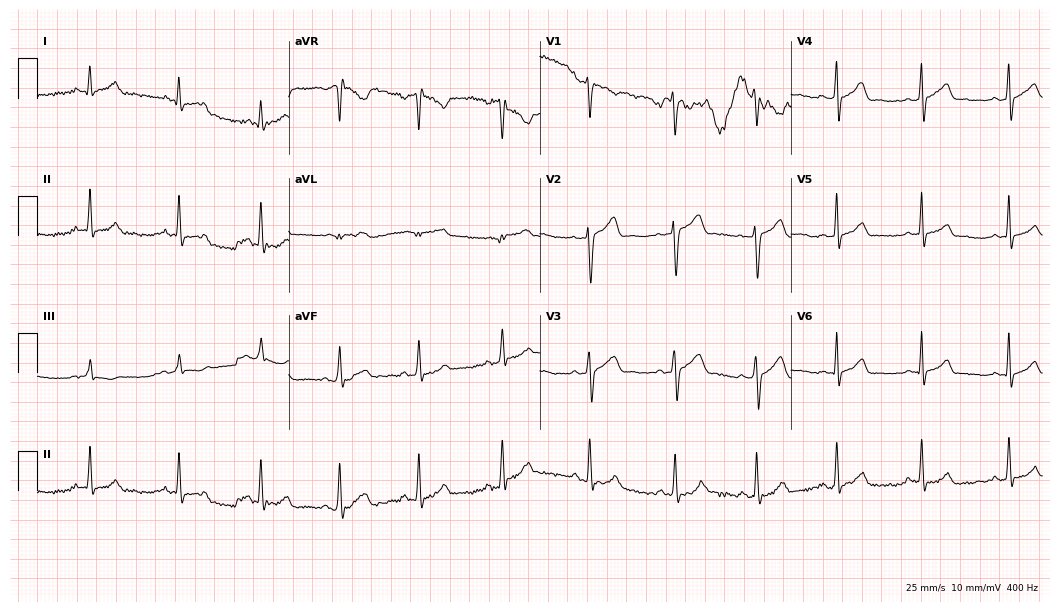
Resting 12-lead electrocardiogram. Patient: a 31-year-old male. Read as a normal ECG.